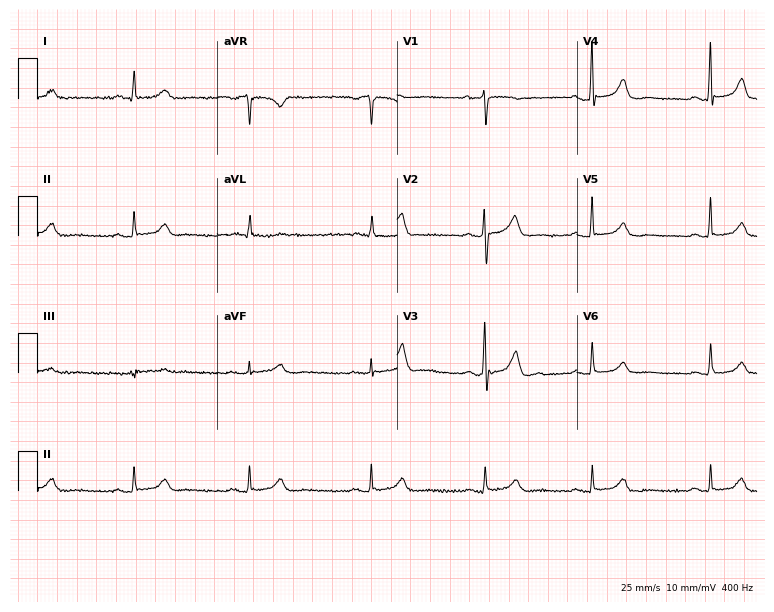
12-lead ECG from a female patient, 64 years old (7.3-second recording at 400 Hz). Recorded interpretation: within normal limits.